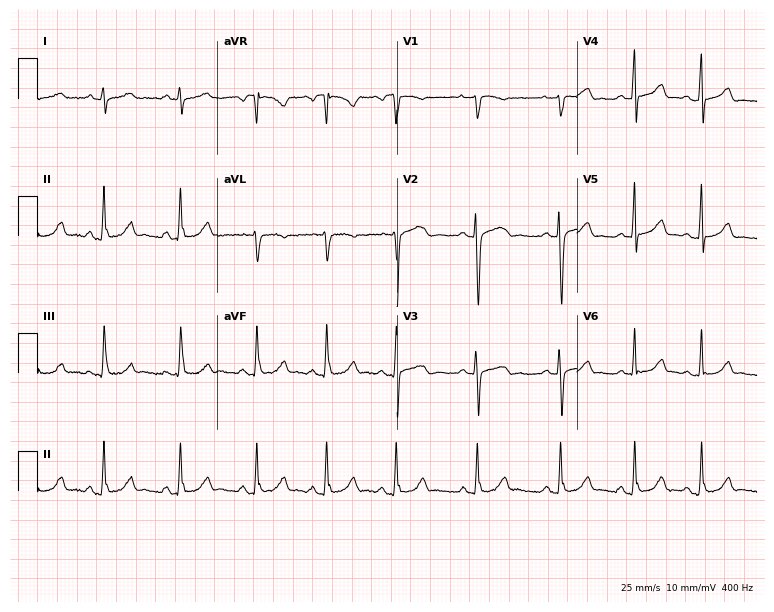
Standard 12-lead ECG recorded from a female, 31 years old. Read as a normal ECG.